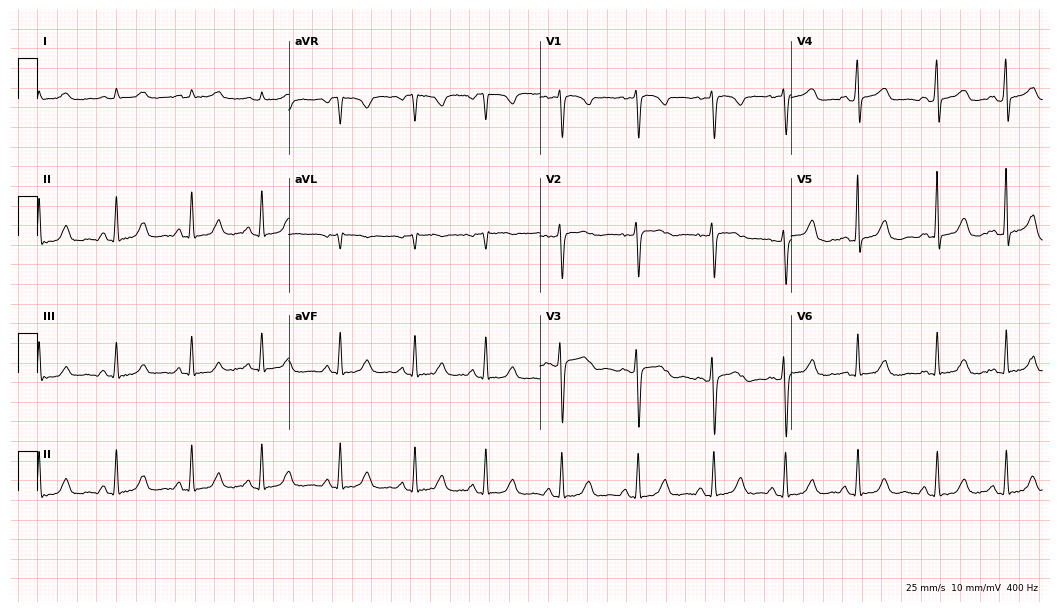
ECG — a 54-year-old female patient. Screened for six findings — first-degree AV block, right bundle branch block (RBBB), left bundle branch block (LBBB), sinus bradycardia, atrial fibrillation (AF), sinus tachycardia — none is recorded. Findings outside these six are not listed.